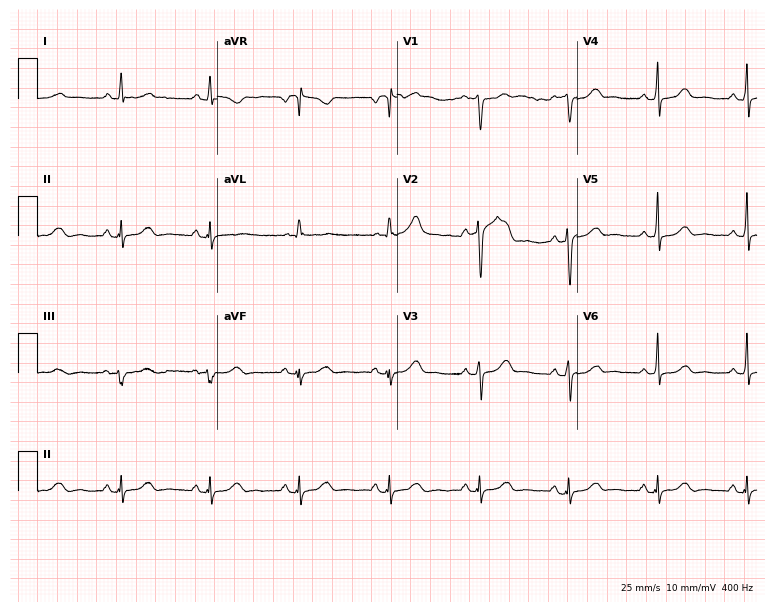
12-lead ECG from a woman, 51 years old. No first-degree AV block, right bundle branch block (RBBB), left bundle branch block (LBBB), sinus bradycardia, atrial fibrillation (AF) or sinus tachycardia recorded for this tracing. Other findings, if any, are not listed.